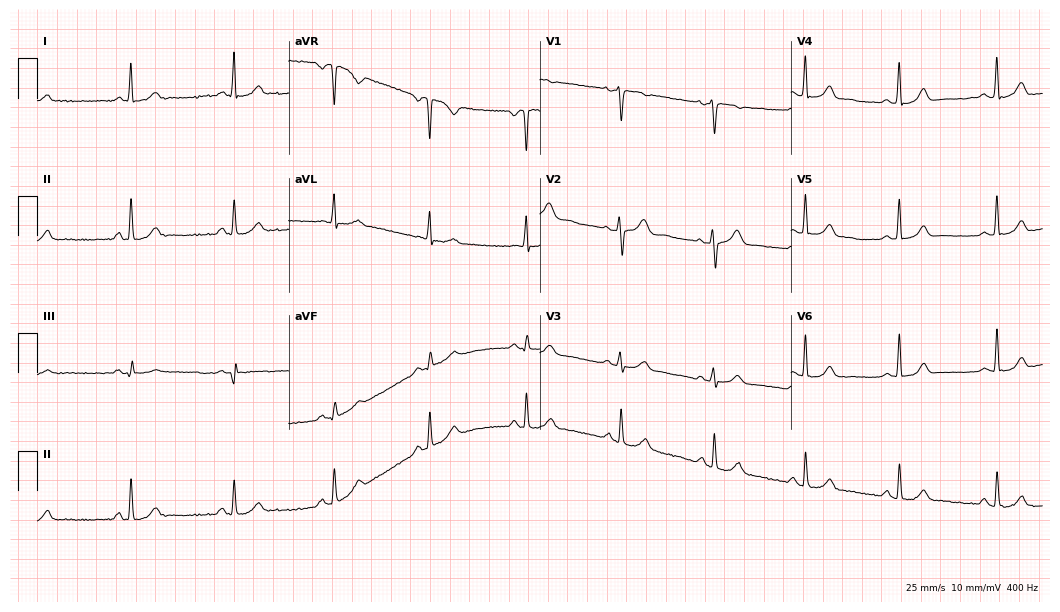
12-lead ECG (10.2-second recording at 400 Hz) from a woman, 35 years old. Labelled as a normal ECG.